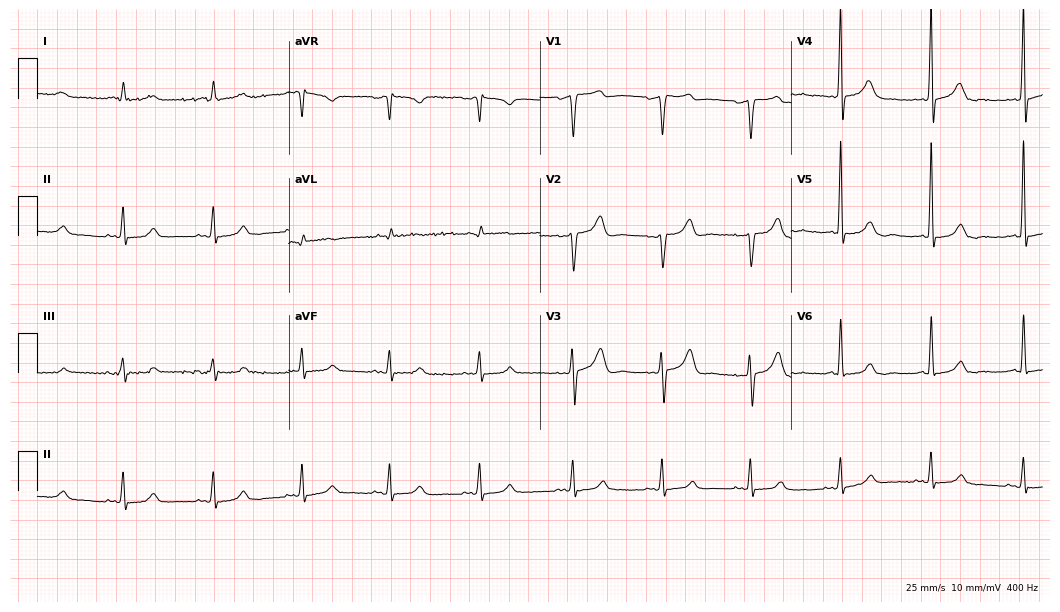
Resting 12-lead electrocardiogram. Patient: a male, 50 years old. Read as a normal ECG.